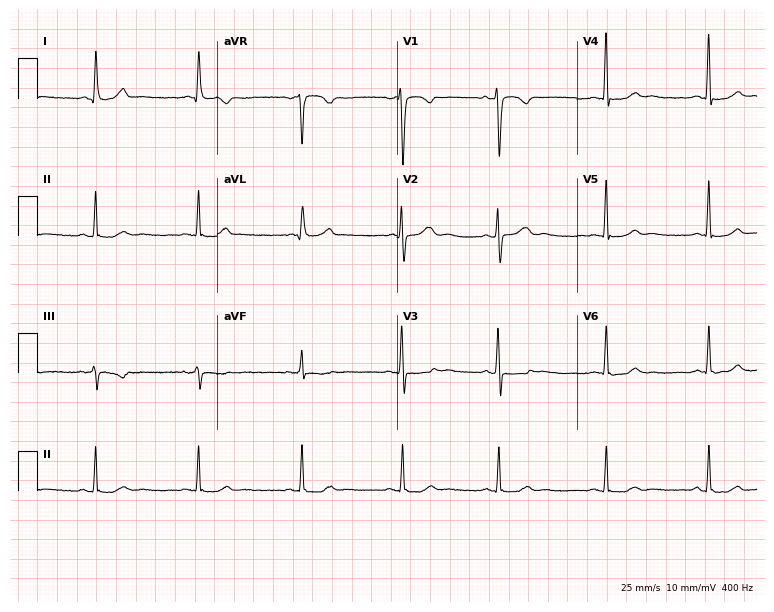
12-lead ECG (7.3-second recording at 400 Hz) from a female, 36 years old. Labelled as a normal ECG.